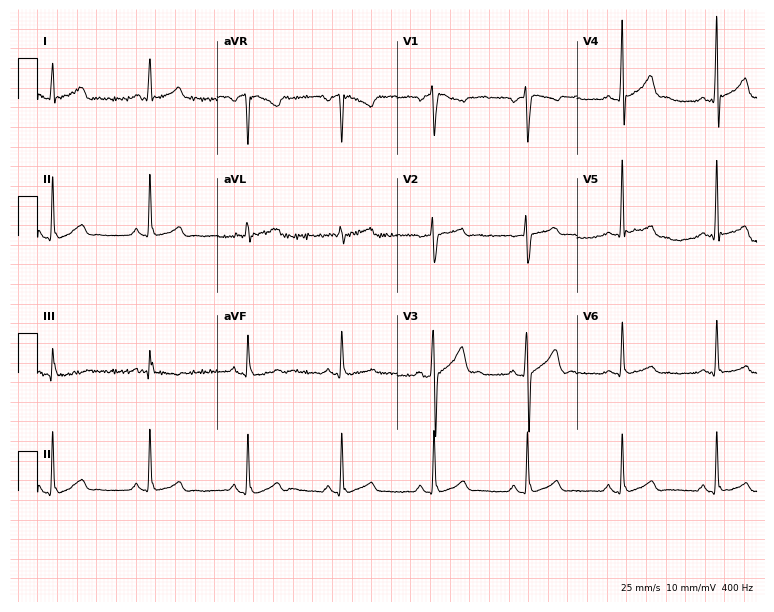
Resting 12-lead electrocardiogram. Patient: a male, 46 years old. Read as a normal ECG.